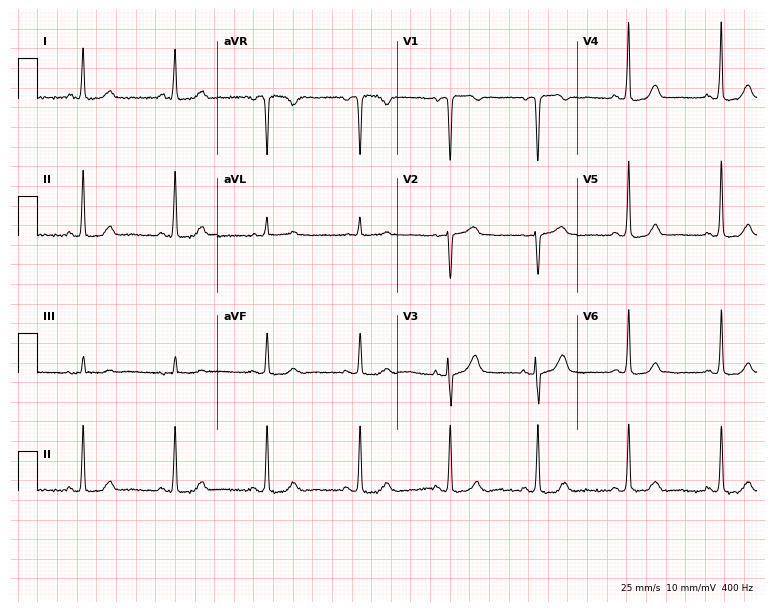
12-lead ECG from a 60-year-old woman (7.3-second recording at 400 Hz). No first-degree AV block, right bundle branch block, left bundle branch block, sinus bradycardia, atrial fibrillation or sinus tachycardia recorded for this tracing. Findings outside these six are not listed.